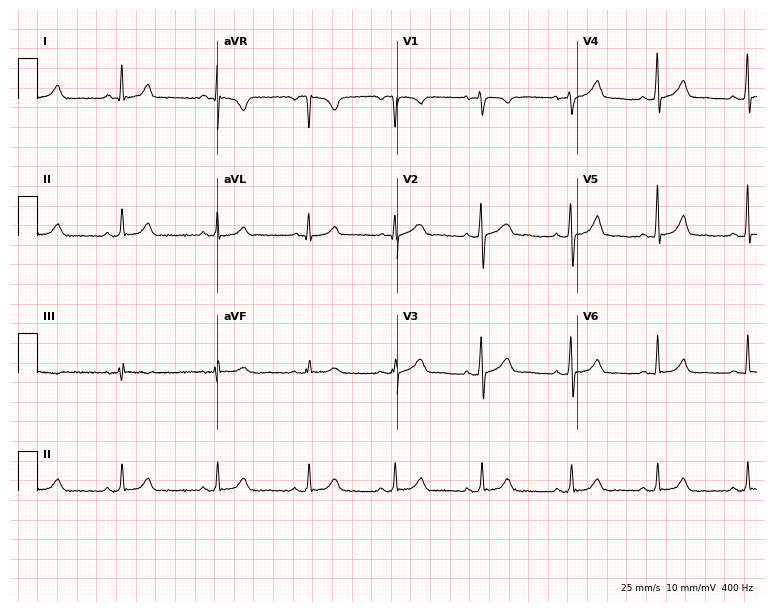
ECG — a 34-year-old woman. Screened for six findings — first-degree AV block, right bundle branch block, left bundle branch block, sinus bradycardia, atrial fibrillation, sinus tachycardia — none is recorded.